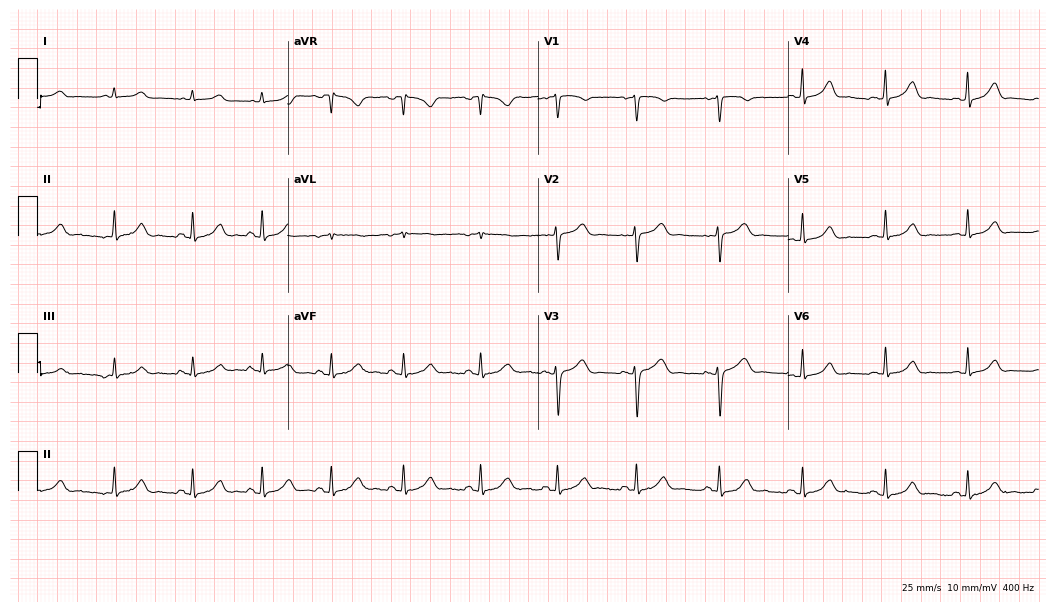
12-lead ECG (10.2-second recording at 400 Hz) from a female patient, 38 years old. Labelled as a normal ECG.